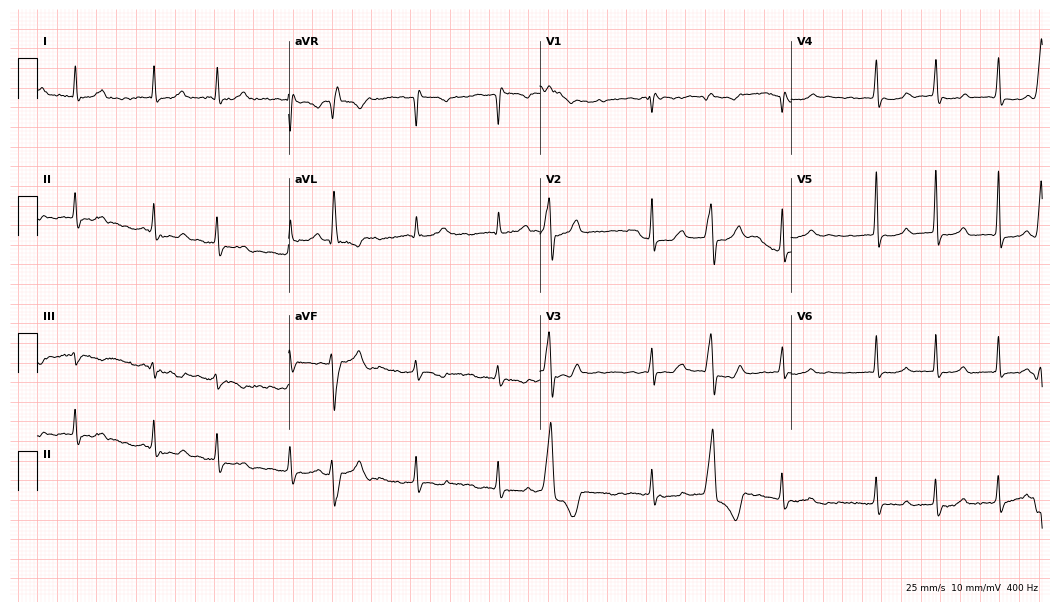
Electrocardiogram, a 59-year-old female. Interpretation includes atrial fibrillation (AF).